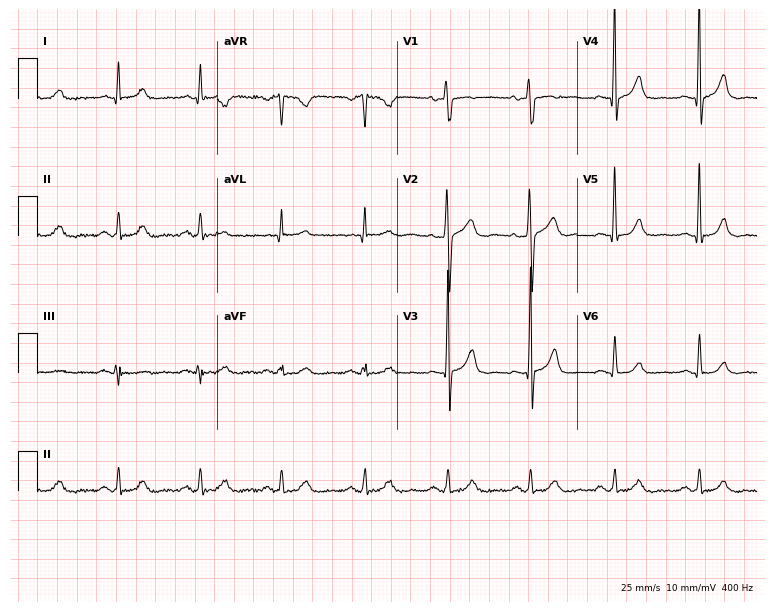
Electrocardiogram, a 46-year-old male. Of the six screened findings (first-degree AV block, right bundle branch block (RBBB), left bundle branch block (LBBB), sinus bradycardia, atrial fibrillation (AF), sinus tachycardia), none is recorded.